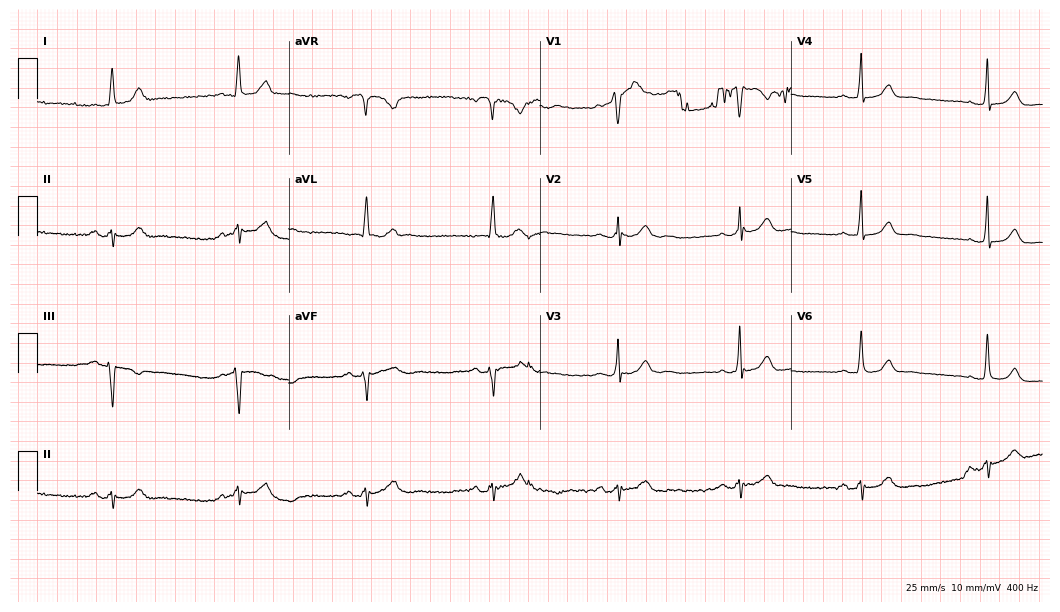
ECG (10.2-second recording at 400 Hz) — a male patient, 74 years old. Screened for six findings — first-degree AV block, right bundle branch block (RBBB), left bundle branch block (LBBB), sinus bradycardia, atrial fibrillation (AF), sinus tachycardia — none is recorded.